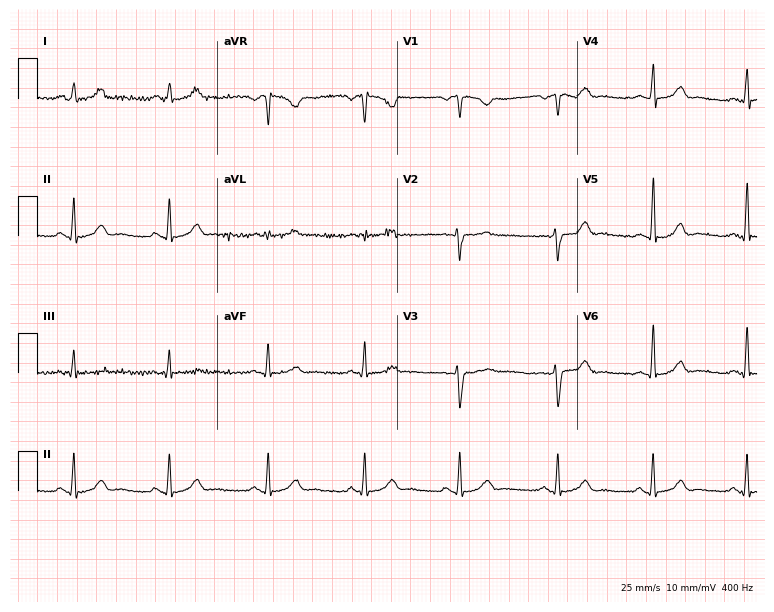
12-lead ECG from a 35-year-old woman (7.3-second recording at 400 Hz). Recorded interpretation: within normal limits.